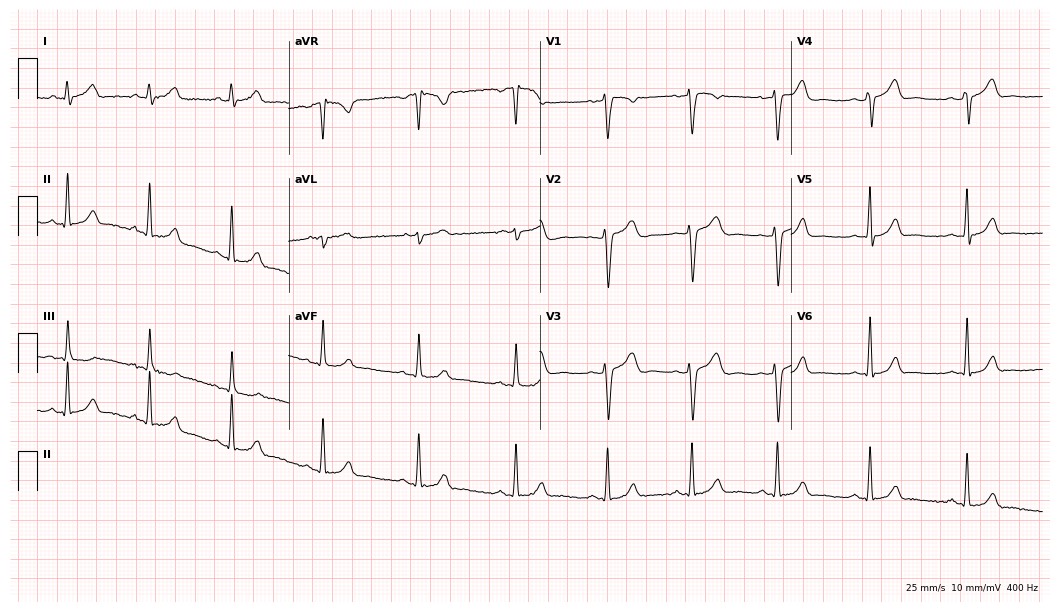
Resting 12-lead electrocardiogram. Patient: a female, 30 years old. Read as a normal ECG.